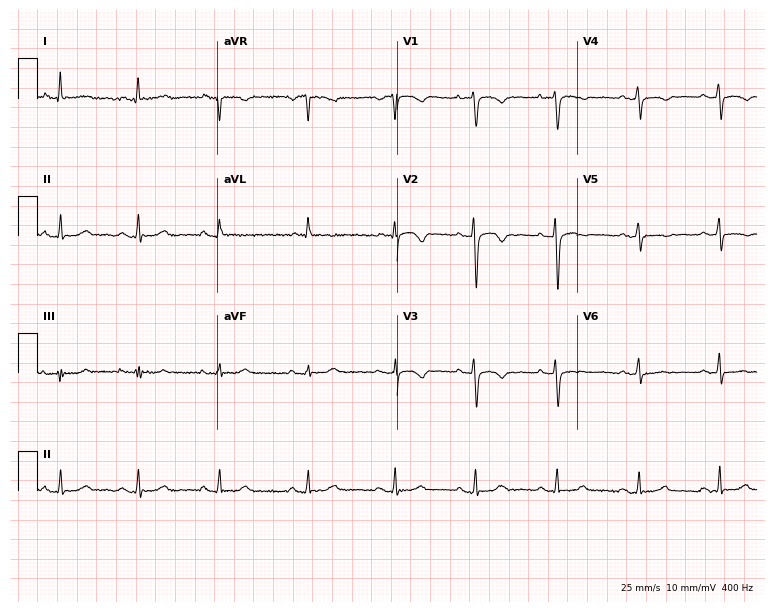
12-lead ECG (7.3-second recording at 400 Hz) from a female patient, 50 years old. Screened for six findings — first-degree AV block, right bundle branch block (RBBB), left bundle branch block (LBBB), sinus bradycardia, atrial fibrillation (AF), sinus tachycardia — none is recorded.